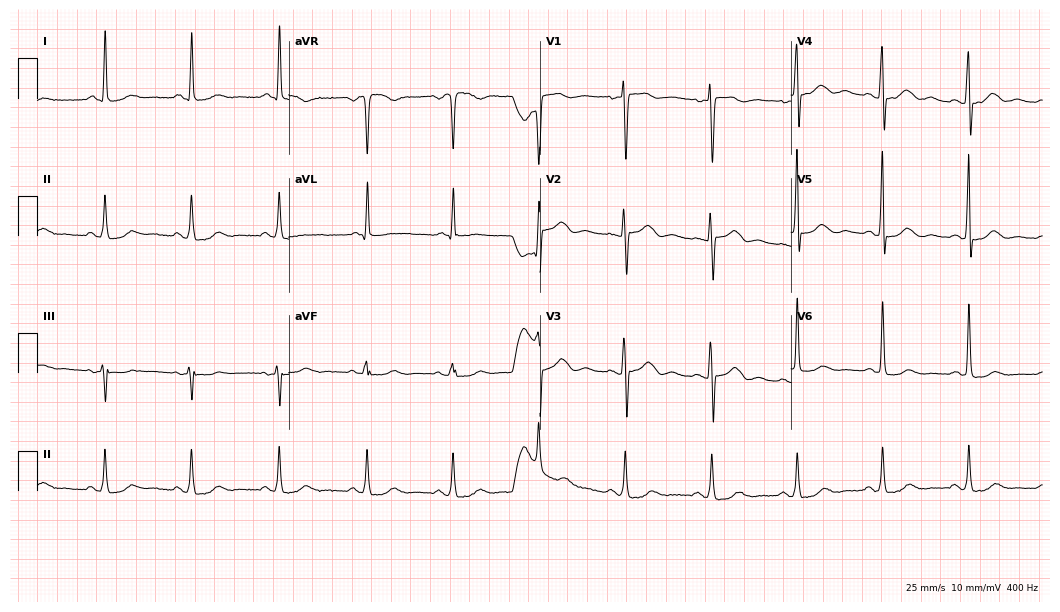
Standard 12-lead ECG recorded from a female patient, 58 years old. Read as a normal ECG.